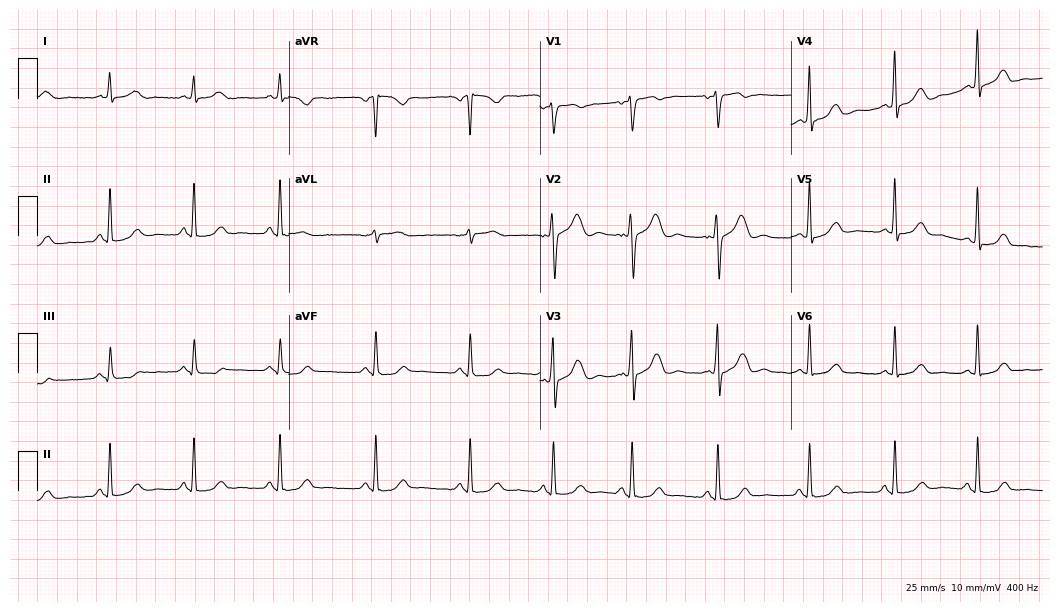
Resting 12-lead electrocardiogram (10.2-second recording at 400 Hz). Patient: a female, 48 years old. Read as a normal ECG.